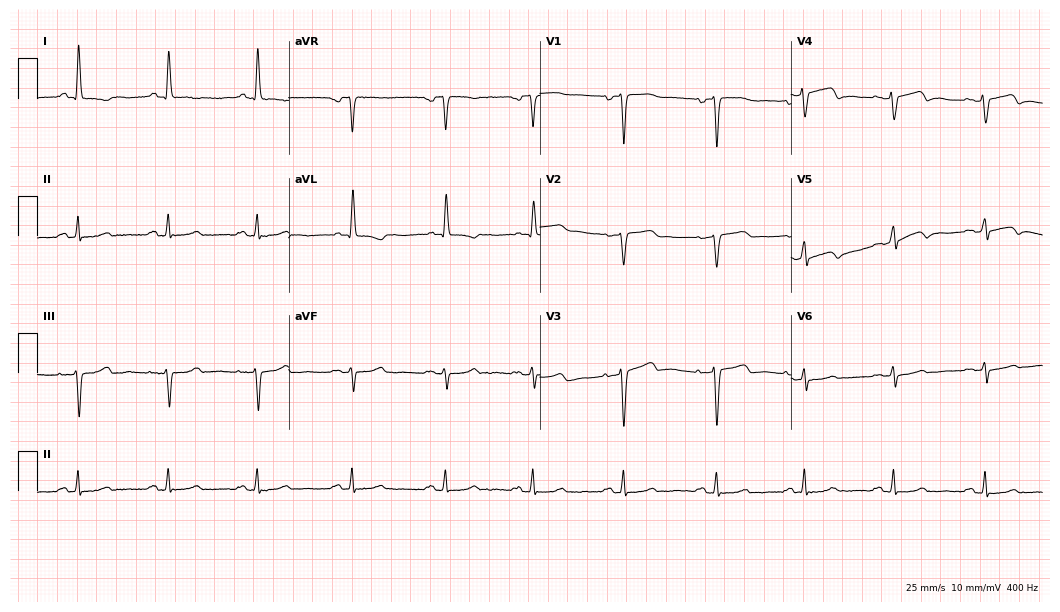
12-lead ECG from a man, 80 years old. Screened for six findings — first-degree AV block, right bundle branch block, left bundle branch block, sinus bradycardia, atrial fibrillation, sinus tachycardia — none is recorded. Other findings, if any, are not listed.